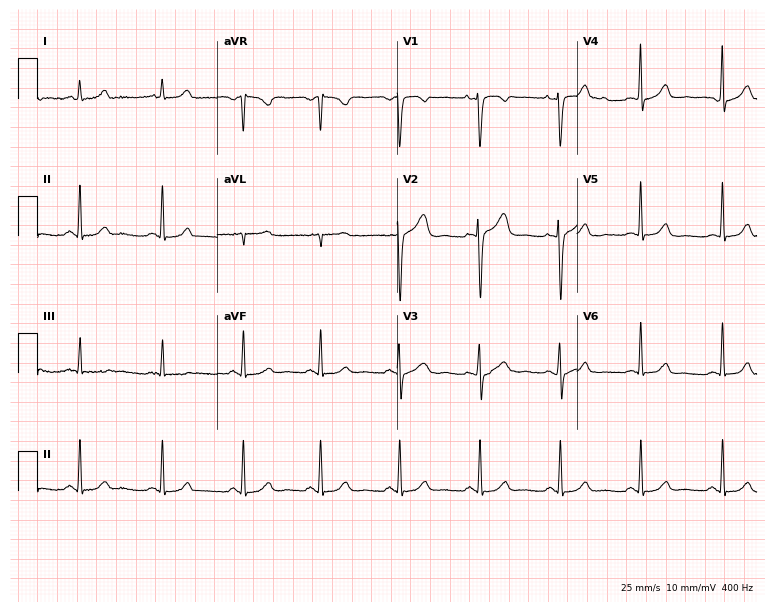
ECG (7.3-second recording at 400 Hz) — a female patient, 41 years old. Screened for six findings — first-degree AV block, right bundle branch block, left bundle branch block, sinus bradycardia, atrial fibrillation, sinus tachycardia — none is recorded.